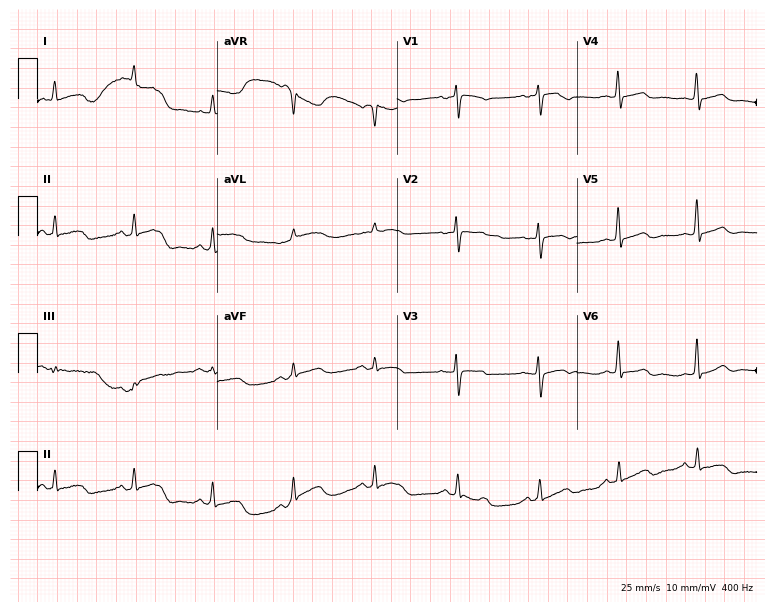
12-lead ECG from a female patient, 71 years old. No first-degree AV block, right bundle branch block (RBBB), left bundle branch block (LBBB), sinus bradycardia, atrial fibrillation (AF) or sinus tachycardia recorded for this tracing. Findings outside these six are not listed.